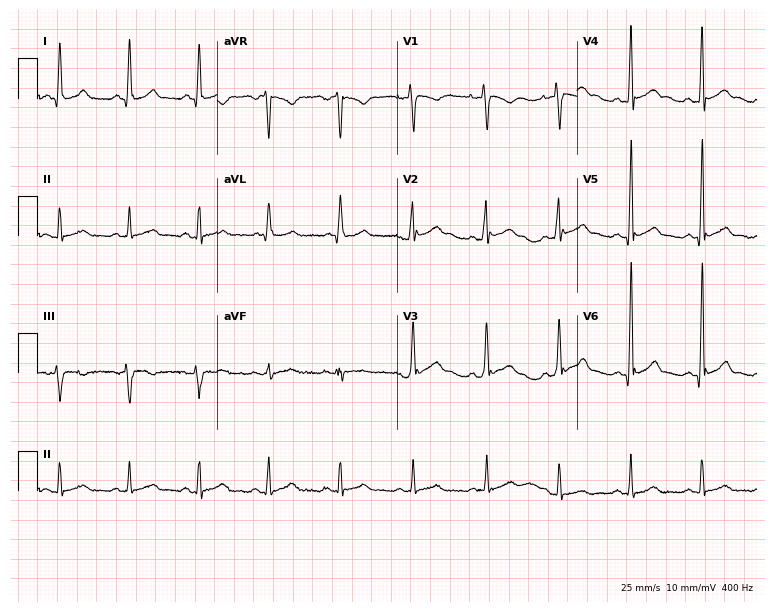
Standard 12-lead ECG recorded from a 21-year-old male patient. None of these six findings is recorded: first-degree AV block, right bundle branch block (RBBB), left bundle branch block (LBBB), sinus bradycardia, atrial fibrillation (AF), sinus tachycardia. Other findings, if any, are not listed.